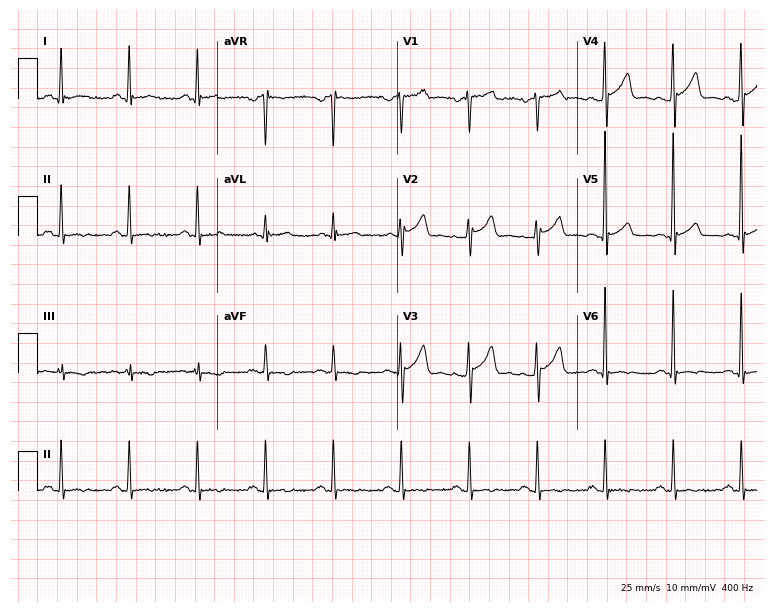
12-lead ECG (7.3-second recording at 400 Hz) from a 55-year-old male. Screened for six findings — first-degree AV block, right bundle branch block (RBBB), left bundle branch block (LBBB), sinus bradycardia, atrial fibrillation (AF), sinus tachycardia — none is recorded. Only these six findings were labelled.